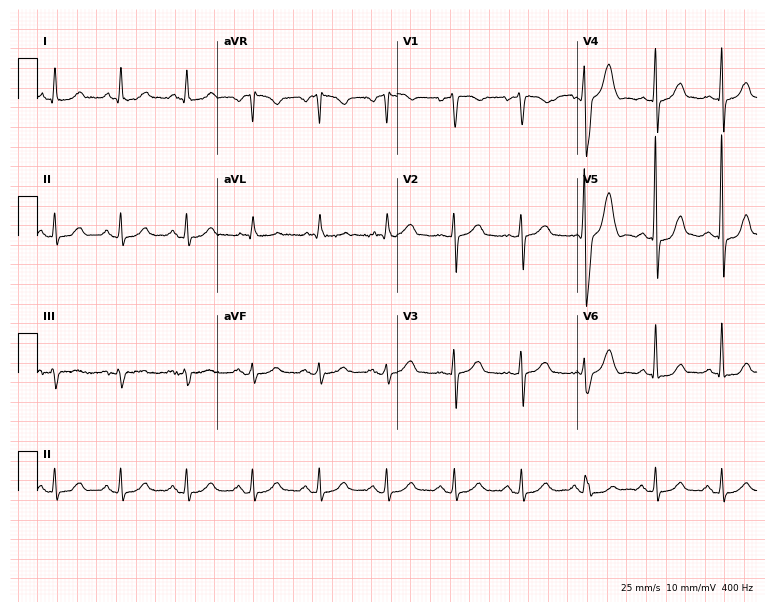
Standard 12-lead ECG recorded from a 60-year-old woman (7.3-second recording at 400 Hz). None of these six findings is recorded: first-degree AV block, right bundle branch block, left bundle branch block, sinus bradycardia, atrial fibrillation, sinus tachycardia. Findings outside these six are not listed.